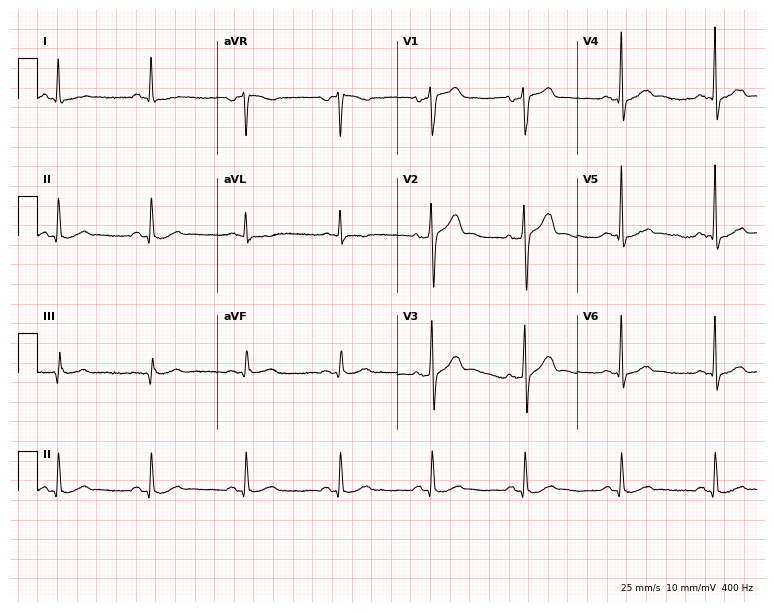
12-lead ECG (7.3-second recording at 400 Hz) from a man, 55 years old. Screened for six findings — first-degree AV block, right bundle branch block, left bundle branch block, sinus bradycardia, atrial fibrillation, sinus tachycardia — none is recorded.